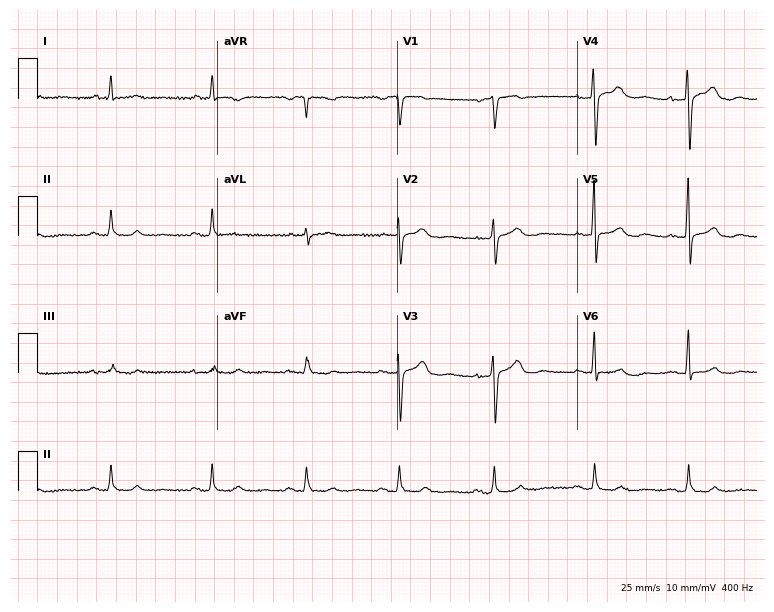
12-lead ECG from a female, 66 years old (7.3-second recording at 400 Hz). Recorded interpretation: within normal limits.